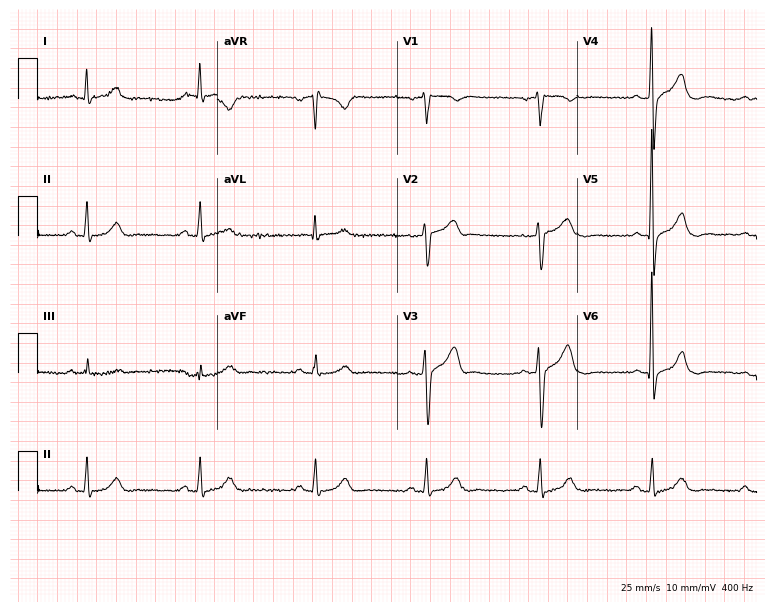
Electrocardiogram (7.3-second recording at 400 Hz), a male, 57 years old. Overall reading on record: normal ECG.